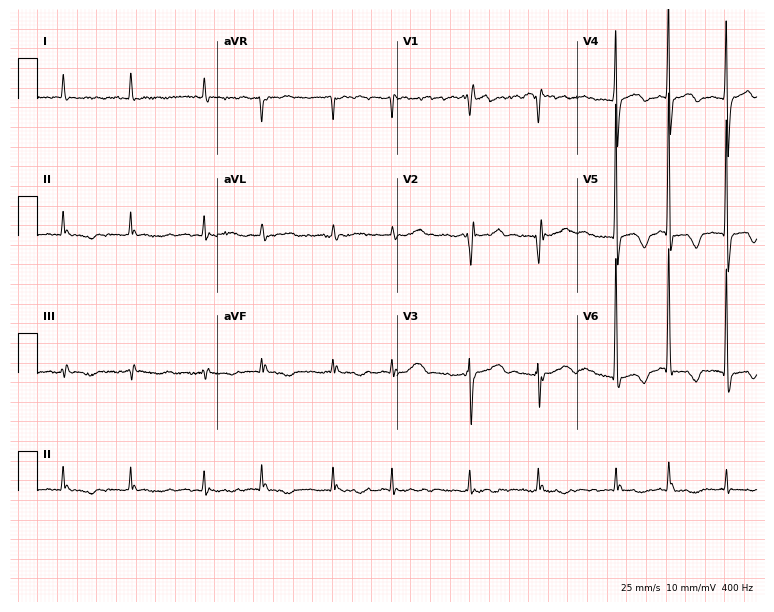
ECG (7.3-second recording at 400 Hz) — an 81-year-old female. Screened for six findings — first-degree AV block, right bundle branch block, left bundle branch block, sinus bradycardia, atrial fibrillation, sinus tachycardia — none is recorded.